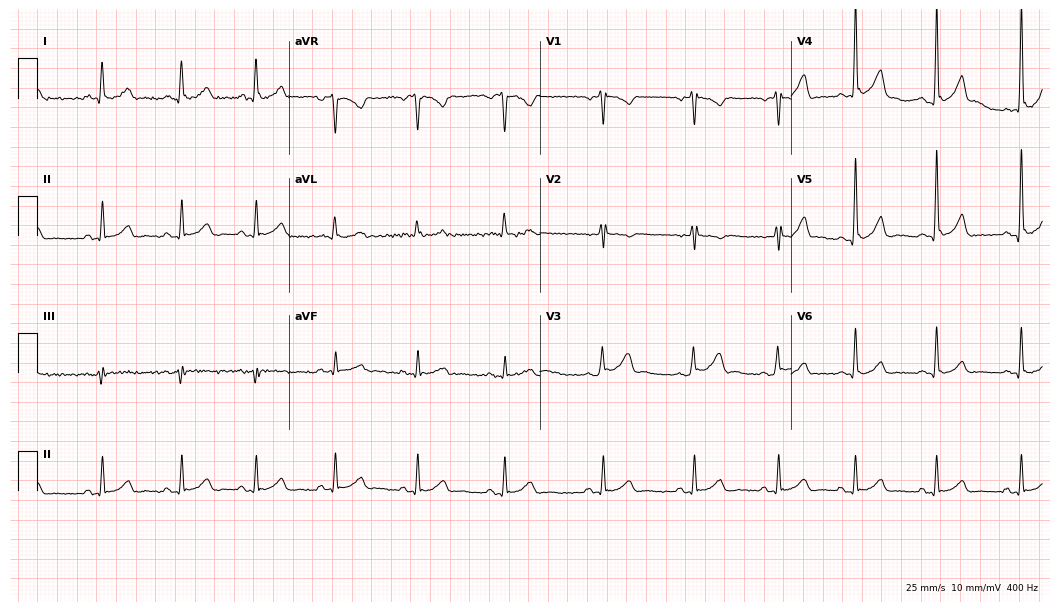
Resting 12-lead electrocardiogram (10.2-second recording at 400 Hz). Patient: a 34-year-old male. None of these six findings is recorded: first-degree AV block, right bundle branch block, left bundle branch block, sinus bradycardia, atrial fibrillation, sinus tachycardia.